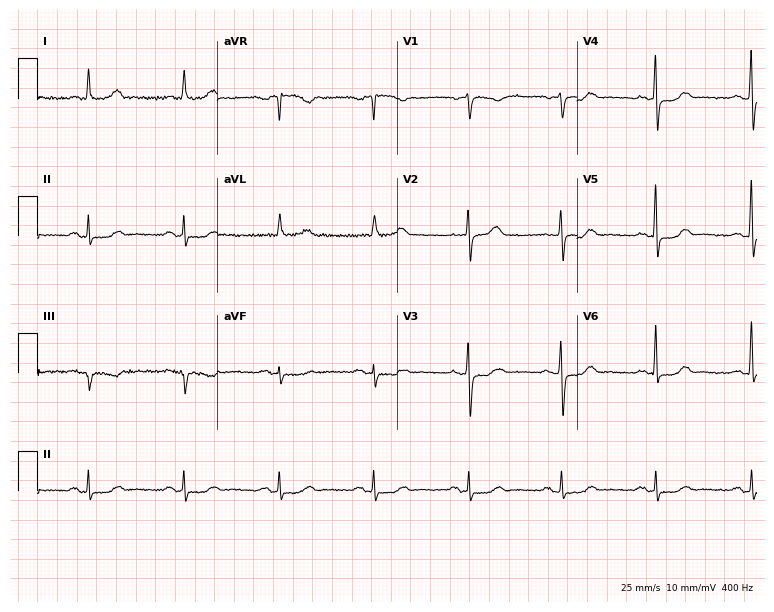
12-lead ECG from a female, 58 years old. Screened for six findings — first-degree AV block, right bundle branch block, left bundle branch block, sinus bradycardia, atrial fibrillation, sinus tachycardia — none is recorded.